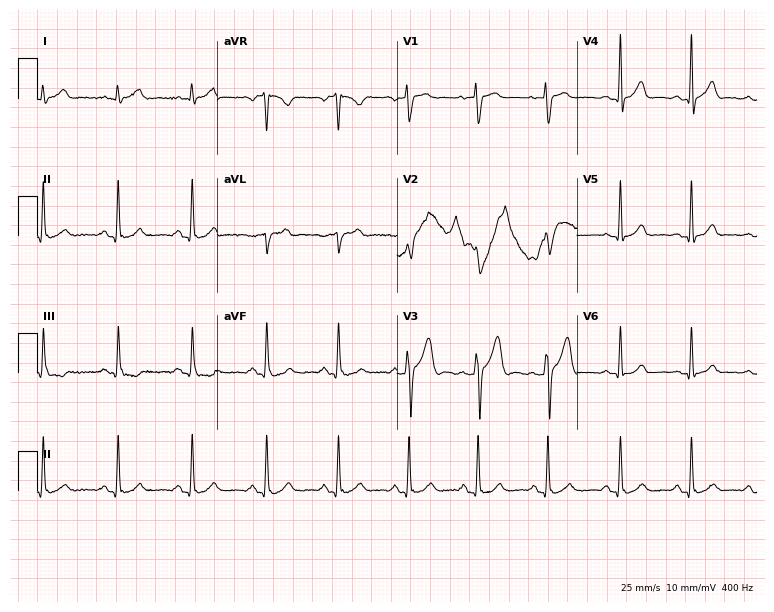
Electrocardiogram (7.3-second recording at 400 Hz), a man, 33 years old. Overall reading on record: normal ECG.